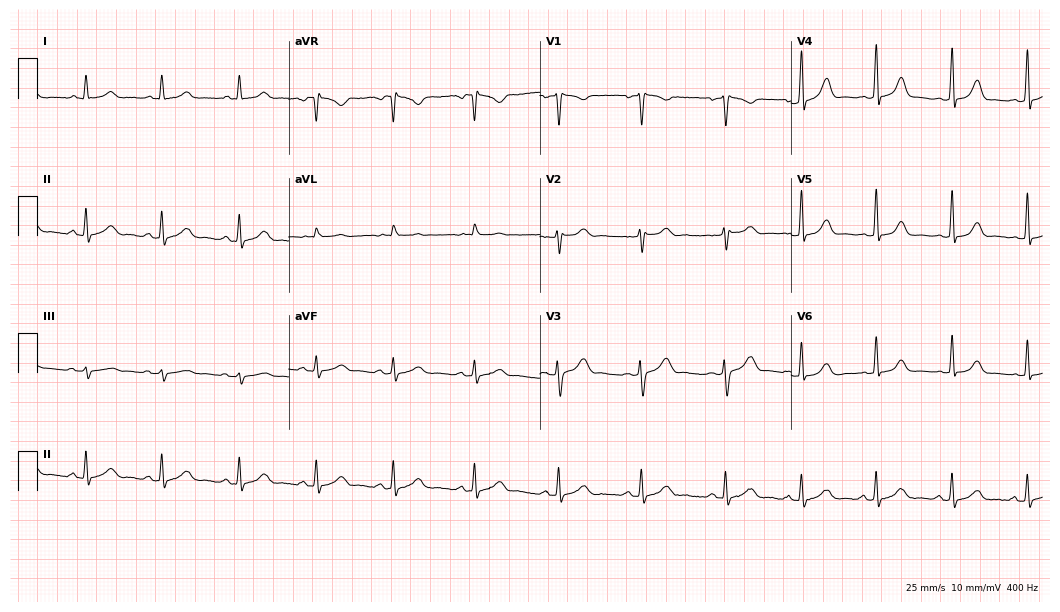
12-lead ECG (10.2-second recording at 400 Hz) from a 28-year-old female. Labelled as a normal ECG.